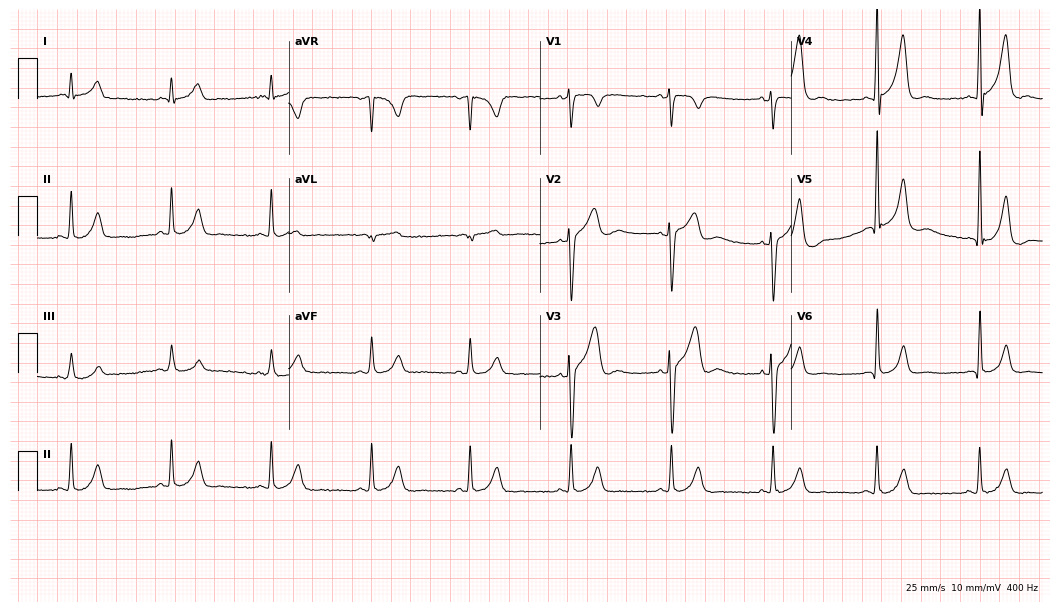
ECG (10.2-second recording at 400 Hz) — a 42-year-old male. Screened for six findings — first-degree AV block, right bundle branch block, left bundle branch block, sinus bradycardia, atrial fibrillation, sinus tachycardia — none is recorded. Only these six findings were labelled.